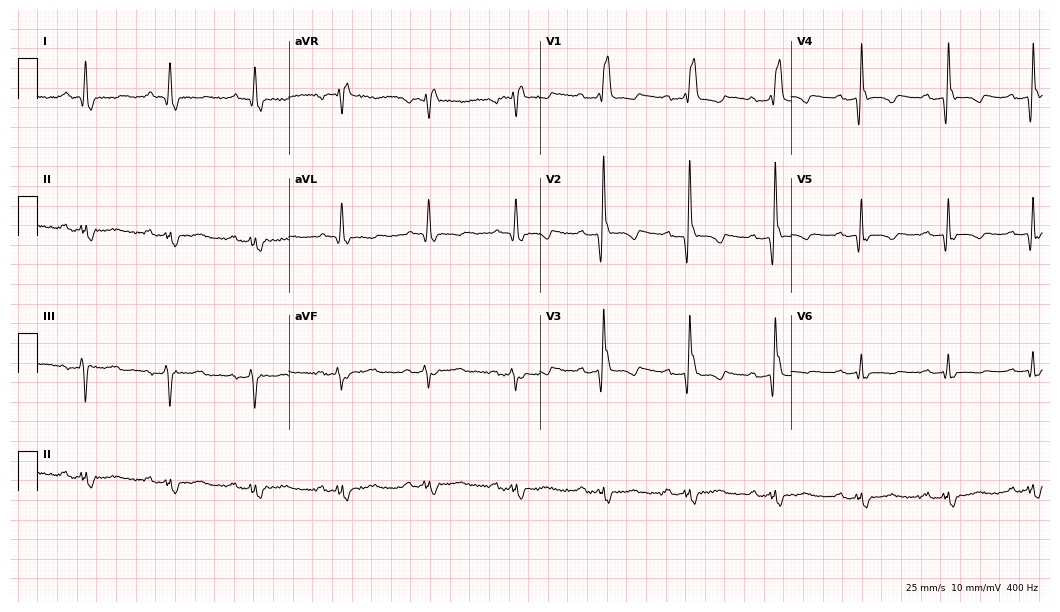
12-lead ECG from a female, 74 years old. Findings include right bundle branch block.